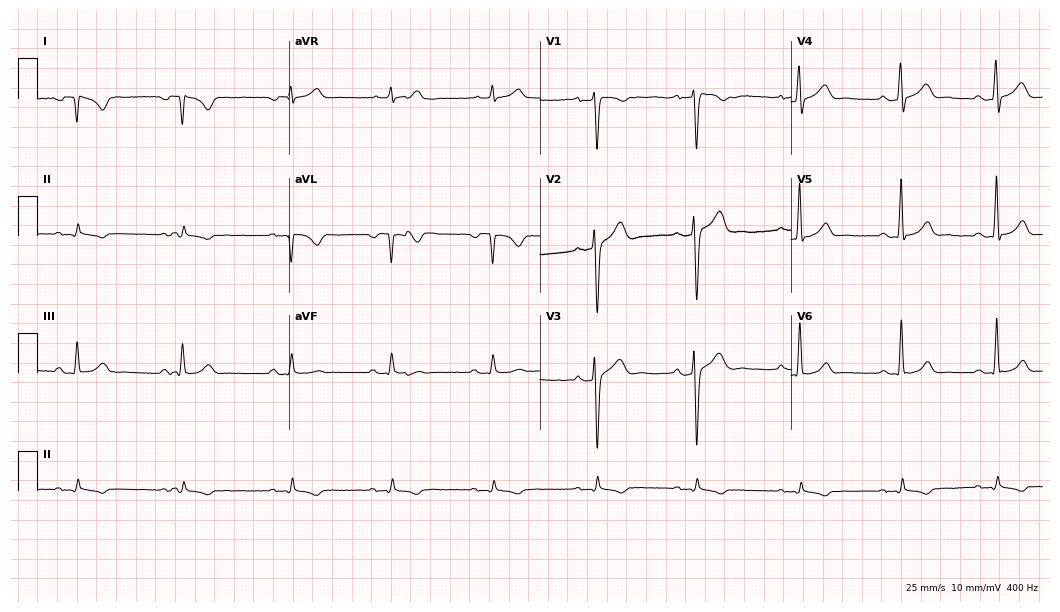
ECG (10.2-second recording at 400 Hz) — a 27-year-old male. Screened for six findings — first-degree AV block, right bundle branch block, left bundle branch block, sinus bradycardia, atrial fibrillation, sinus tachycardia — none is recorded. Other findings, if any, are not listed.